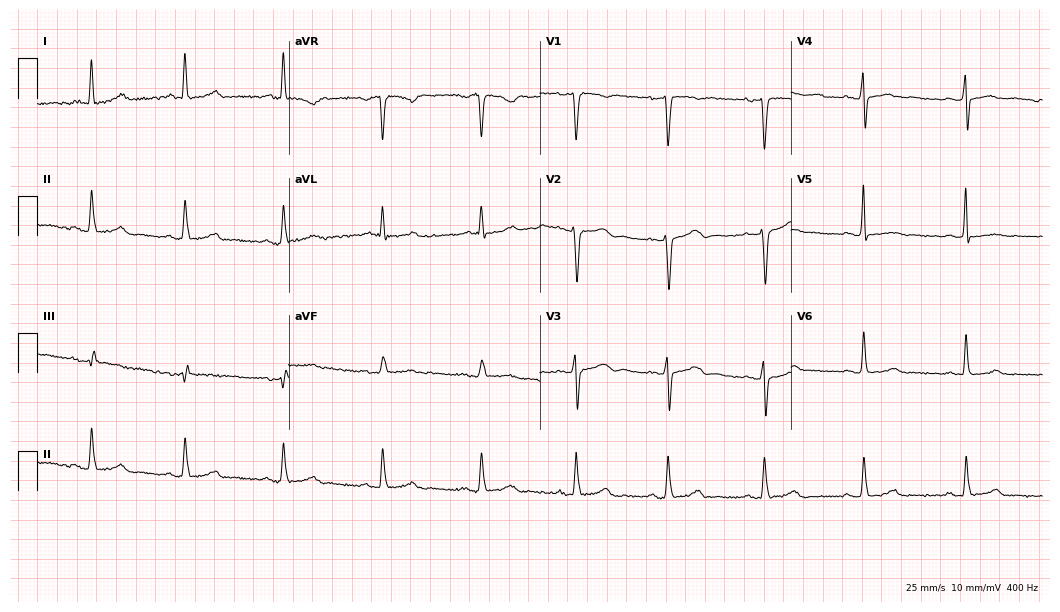
Electrocardiogram (10.2-second recording at 400 Hz), a woman, 47 years old. Overall reading on record: normal ECG.